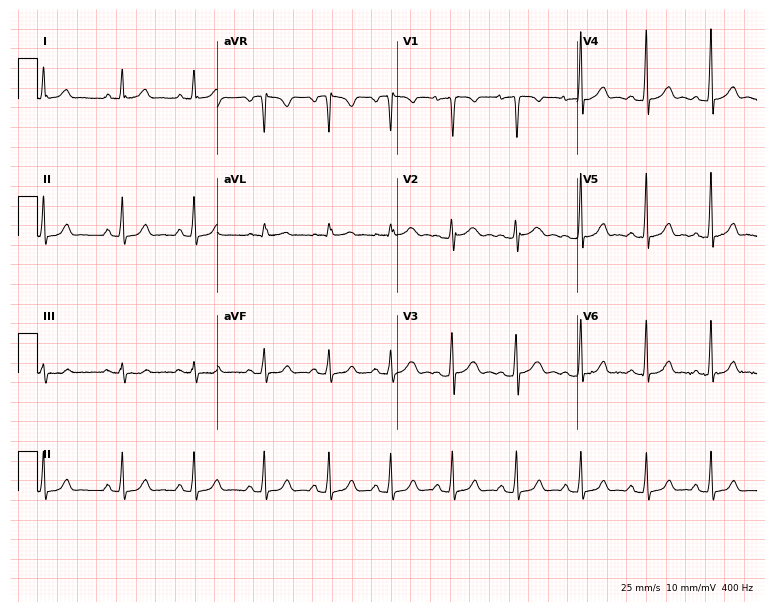
Standard 12-lead ECG recorded from a 21-year-old female patient (7.3-second recording at 400 Hz). Read as a normal ECG.